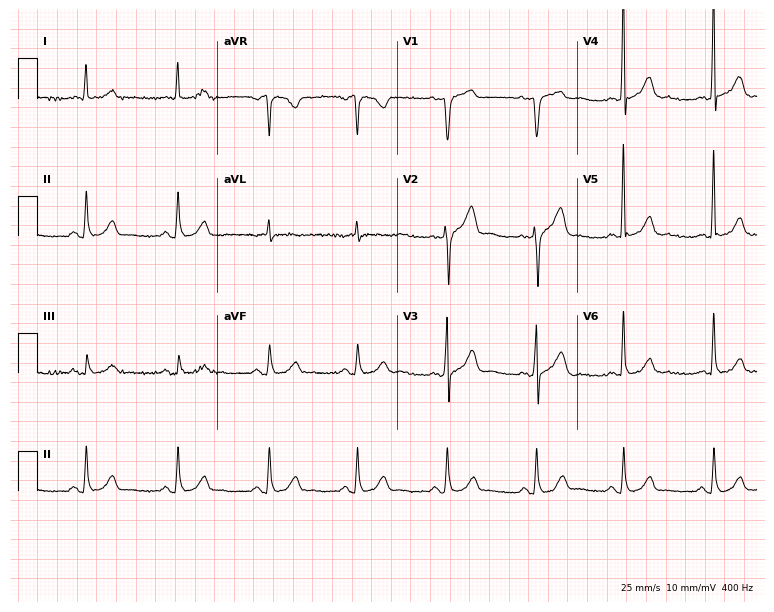
Electrocardiogram, a male, 73 years old. Overall reading on record: normal ECG.